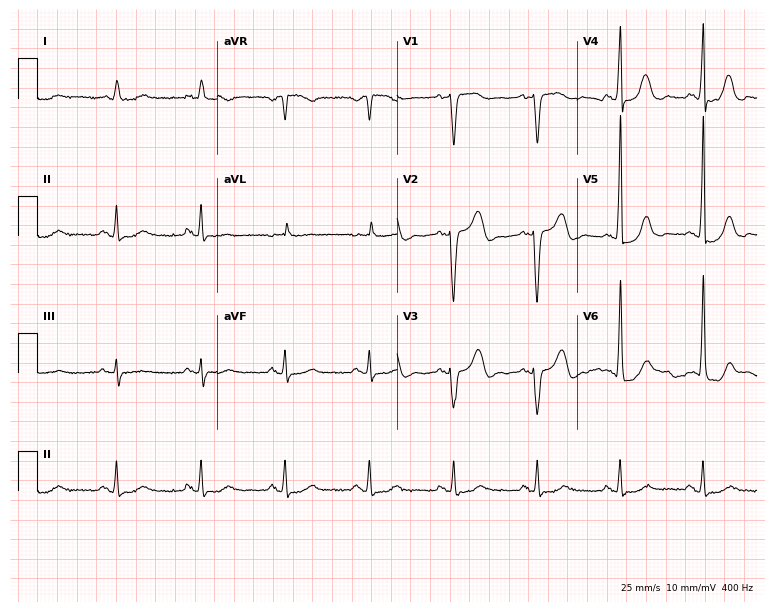
12-lead ECG from a male, 75 years old. Screened for six findings — first-degree AV block, right bundle branch block, left bundle branch block, sinus bradycardia, atrial fibrillation, sinus tachycardia — none is recorded.